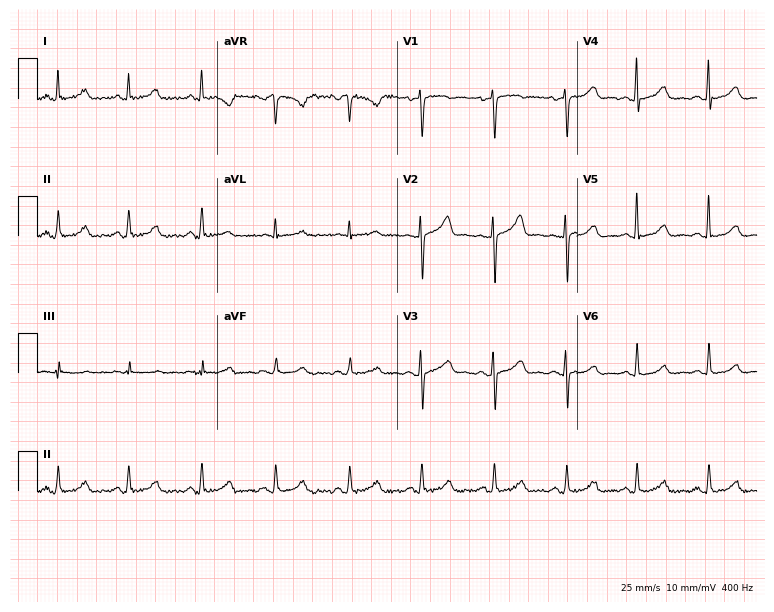
Resting 12-lead electrocardiogram. Patient: a 34-year-old woman. Read as a normal ECG.